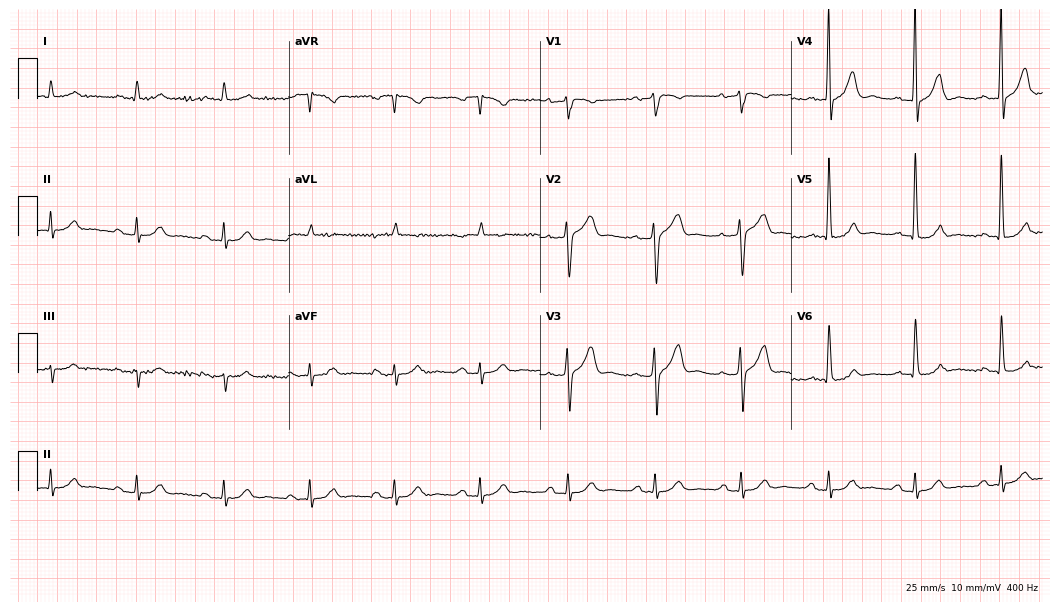
Resting 12-lead electrocardiogram (10.2-second recording at 400 Hz). Patient: a male, 75 years old. The tracing shows first-degree AV block.